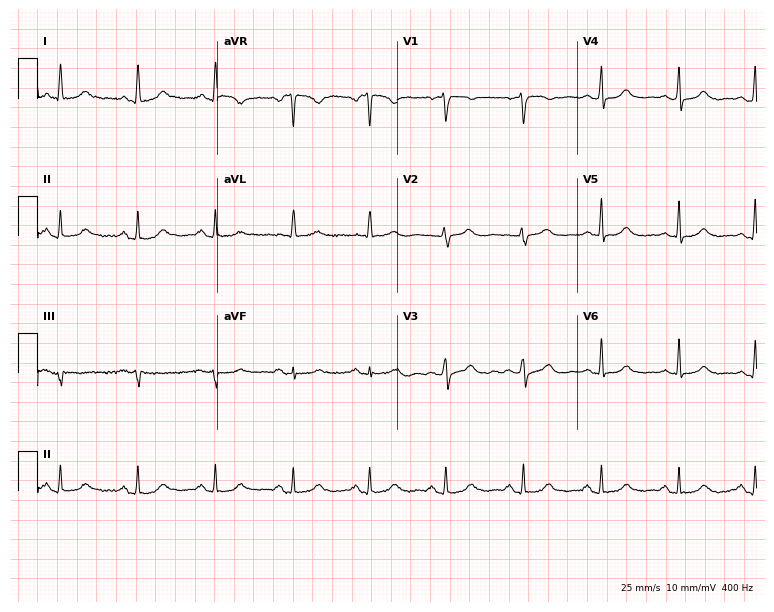
Standard 12-lead ECG recorded from a 76-year-old woman (7.3-second recording at 400 Hz). None of these six findings is recorded: first-degree AV block, right bundle branch block, left bundle branch block, sinus bradycardia, atrial fibrillation, sinus tachycardia.